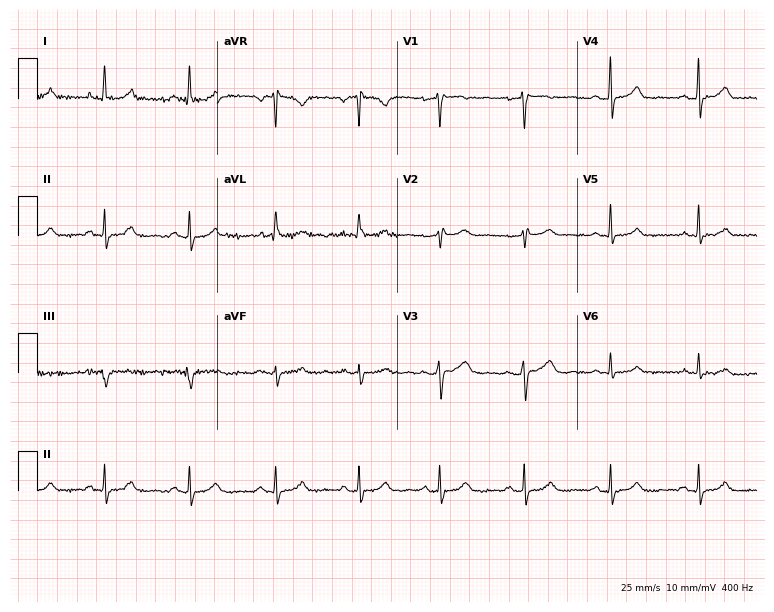
12-lead ECG from a woman, 50 years old (7.3-second recording at 400 Hz). No first-degree AV block, right bundle branch block, left bundle branch block, sinus bradycardia, atrial fibrillation or sinus tachycardia recorded for this tracing.